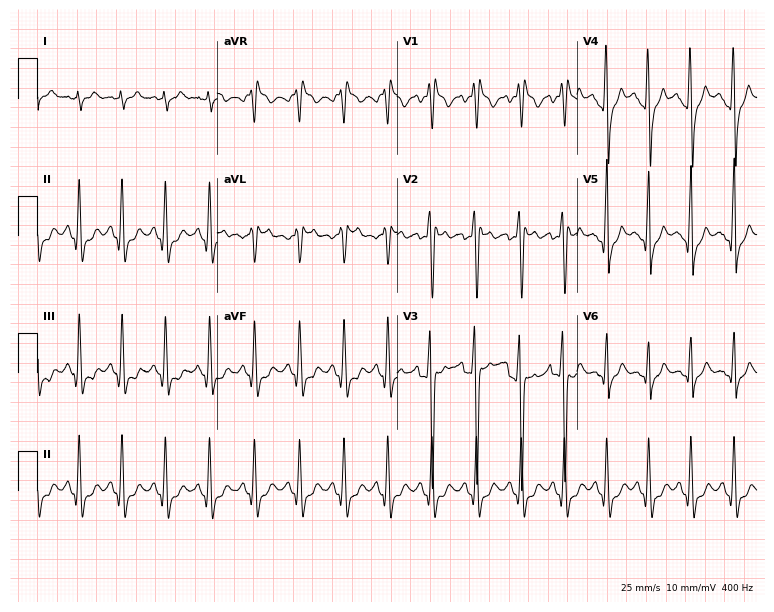
Electrocardiogram, a 17-year-old man. Interpretation includes right bundle branch block, sinus tachycardia (a sinus rate of 100 beats per minute or more).